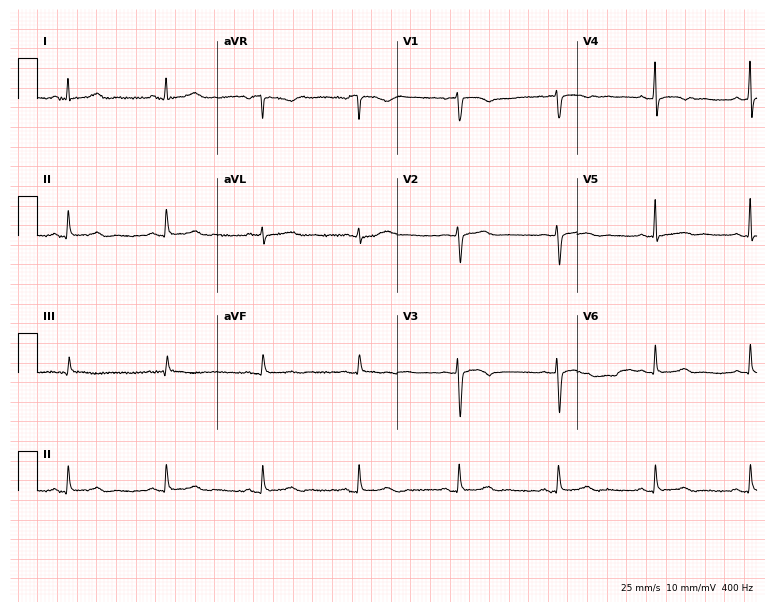
Resting 12-lead electrocardiogram (7.3-second recording at 400 Hz). Patient: a 42-year-old female. None of these six findings is recorded: first-degree AV block, right bundle branch block, left bundle branch block, sinus bradycardia, atrial fibrillation, sinus tachycardia. Other findings, if any, are not listed.